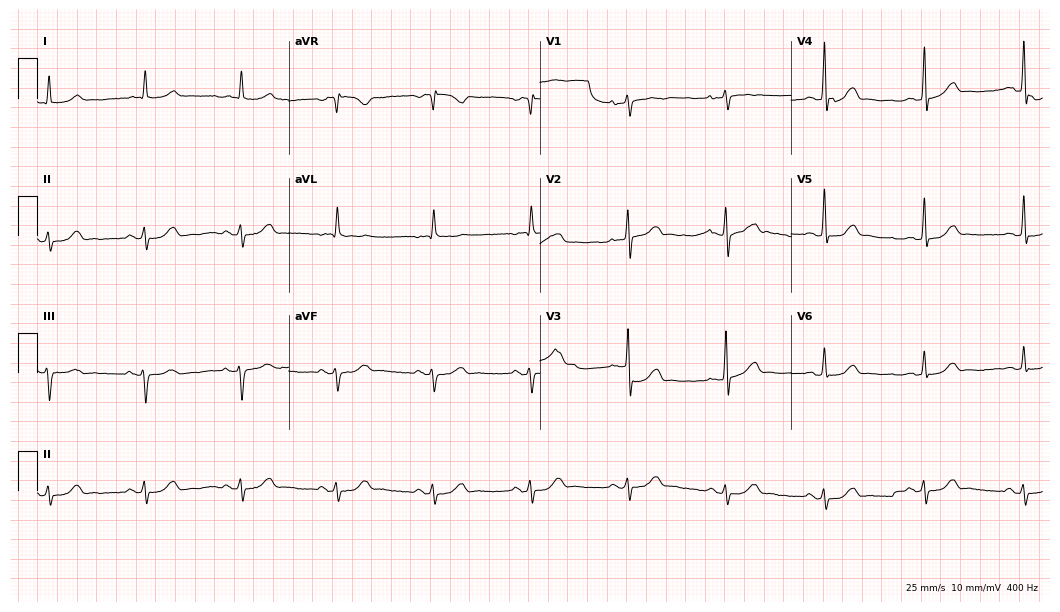
ECG (10.2-second recording at 400 Hz) — an 83-year-old male. Screened for six findings — first-degree AV block, right bundle branch block, left bundle branch block, sinus bradycardia, atrial fibrillation, sinus tachycardia — none is recorded. Only these six findings were labelled.